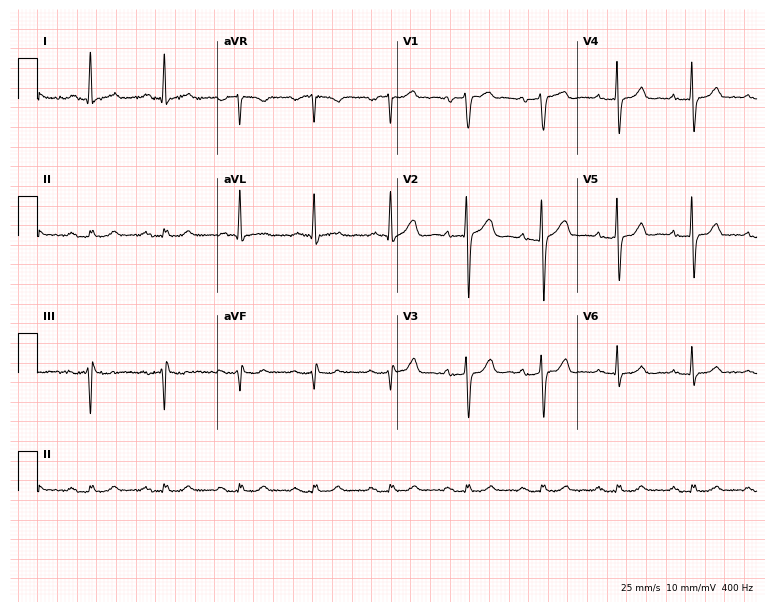
12-lead ECG from a 69-year-old man. Shows first-degree AV block.